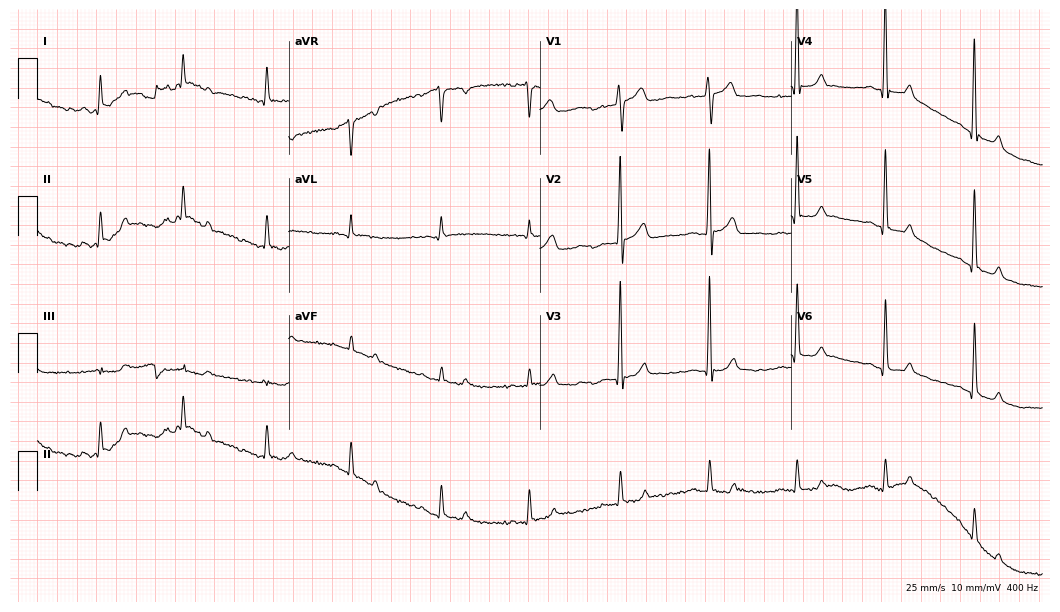
12-lead ECG from a male, 58 years old (10.2-second recording at 400 Hz). No first-degree AV block, right bundle branch block, left bundle branch block, sinus bradycardia, atrial fibrillation or sinus tachycardia recorded for this tracing. Other findings, if any, are not listed.